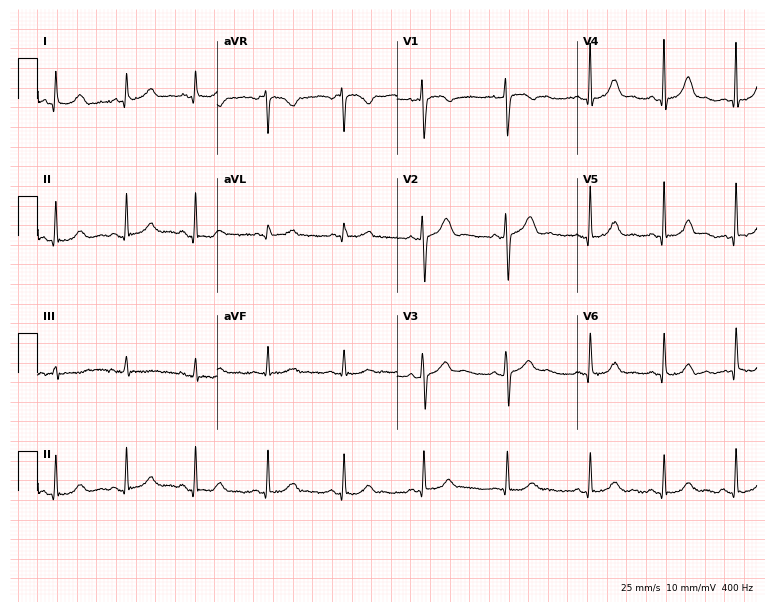
12-lead ECG from a female patient, 29 years old (7.3-second recording at 400 Hz). Recorded interpretation: within normal limits.